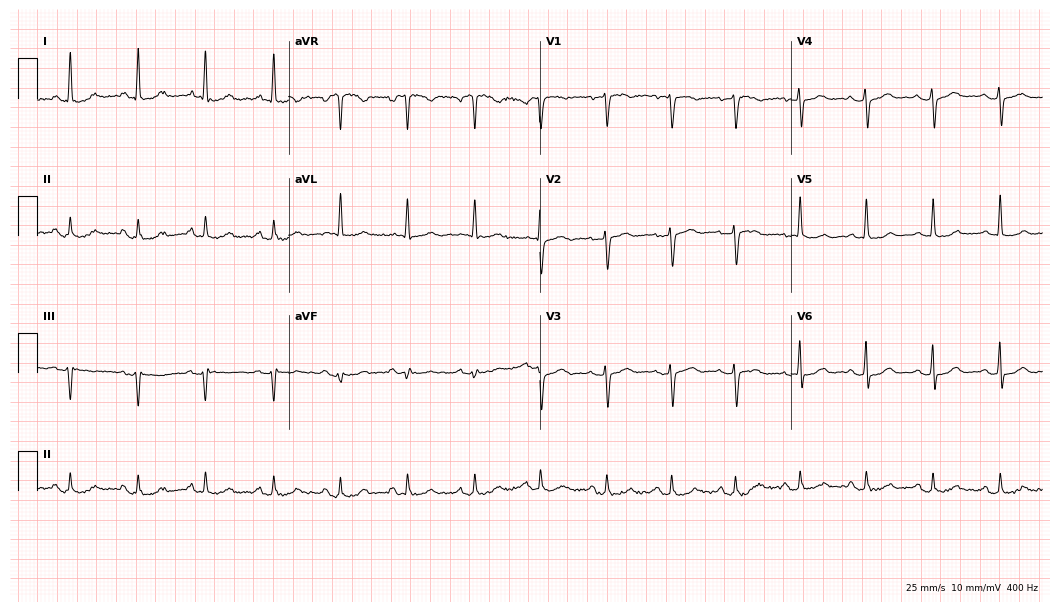
ECG (10.2-second recording at 400 Hz) — a 58-year-old female. Labelled as a normal ECG.